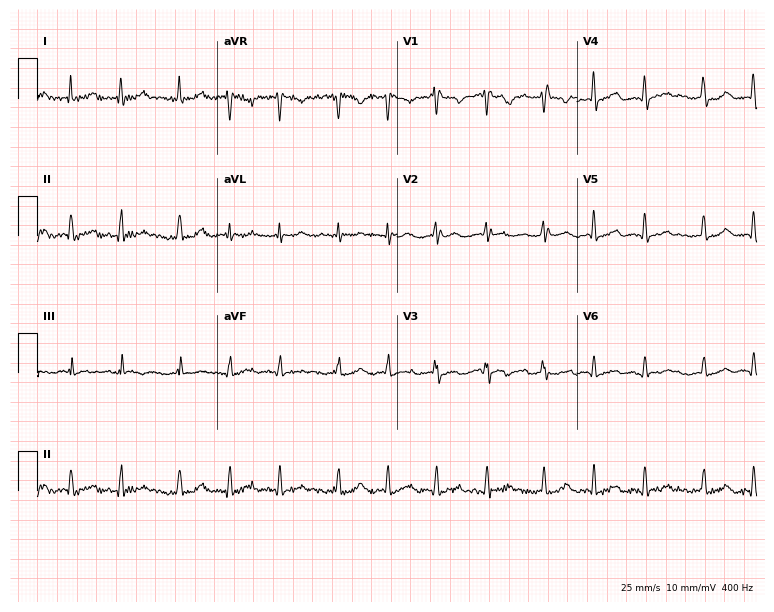
12-lead ECG from a female patient, 69 years old. Screened for six findings — first-degree AV block, right bundle branch block, left bundle branch block, sinus bradycardia, atrial fibrillation, sinus tachycardia — none is recorded. Findings outside these six are not listed.